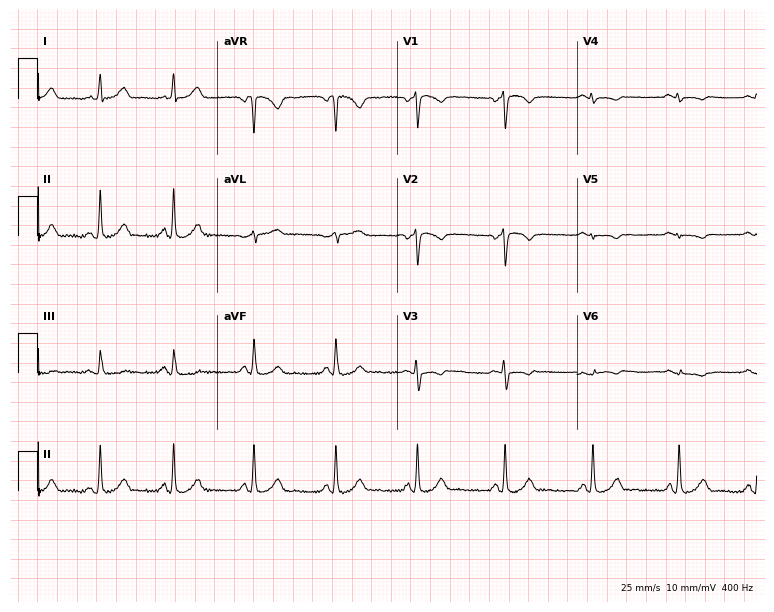
Standard 12-lead ECG recorded from a 24-year-old female patient (7.3-second recording at 400 Hz). None of these six findings is recorded: first-degree AV block, right bundle branch block (RBBB), left bundle branch block (LBBB), sinus bradycardia, atrial fibrillation (AF), sinus tachycardia.